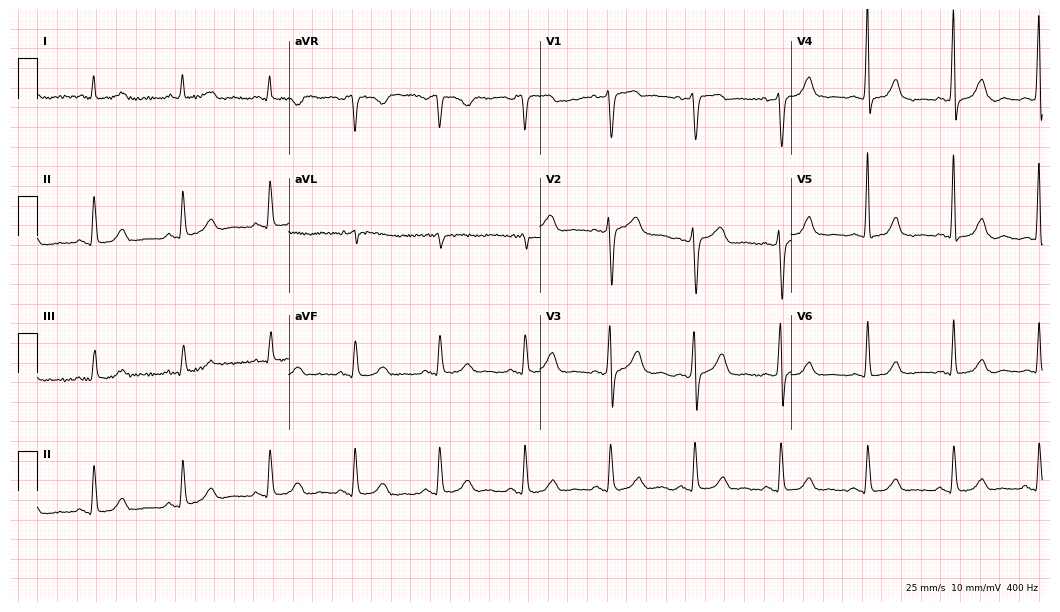
Standard 12-lead ECG recorded from a 73-year-old man. Read as a normal ECG.